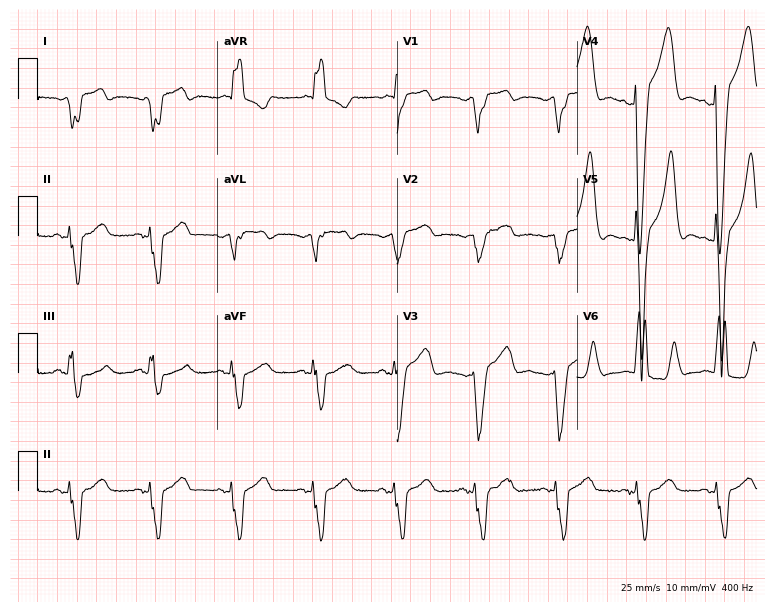
12-lead ECG from a man, 74 years old. No first-degree AV block, right bundle branch block (RBBB), left bundle branch block (LBBB), sinus bradycardia, atrial fibrillation (AF) or sinus tachycardia recorded for this tracing. Other findings, if any, are not listed.